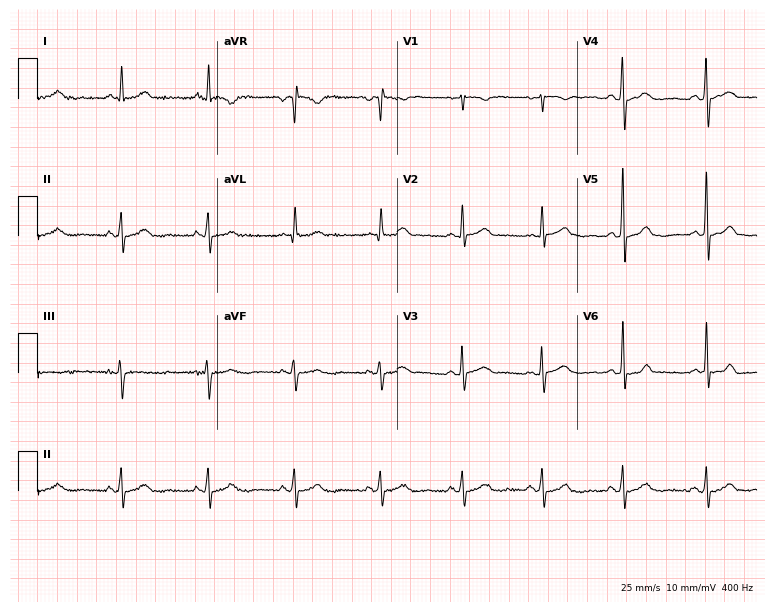
Electrocardiogram (7.3-second recording at 400 Hz), a 41-year-old woman. Overall reading on record: normal ECG.